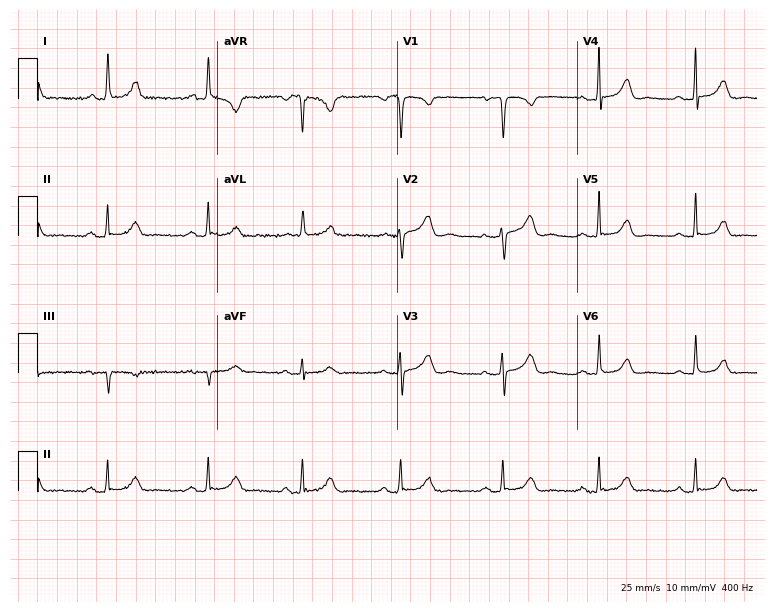
Resting 12-lead electrocardiogram. Patient: a 36-year-old female. Read as a normal ECG.